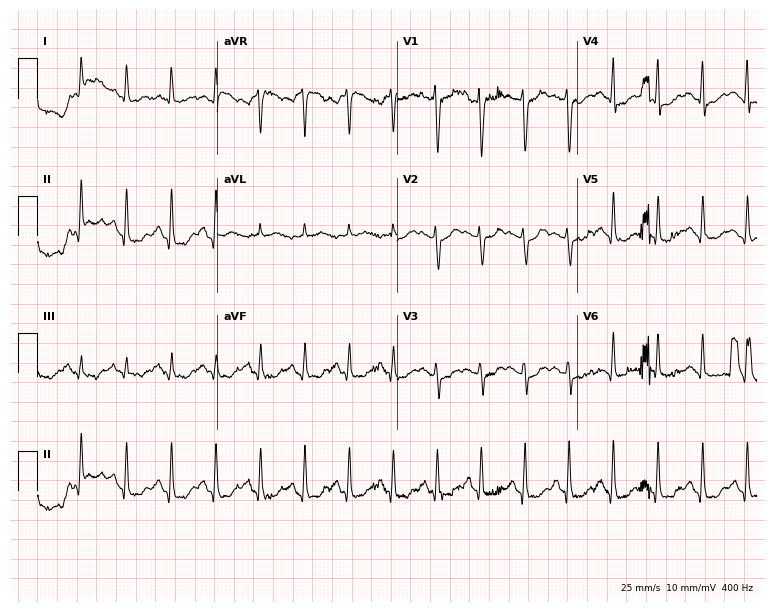
12-lead ECG (7.3-second recording at 400 Hz) from a 42-year-old woman. Findings include sinus tachycardia (a sinus rate of 100 beats per minute or more).